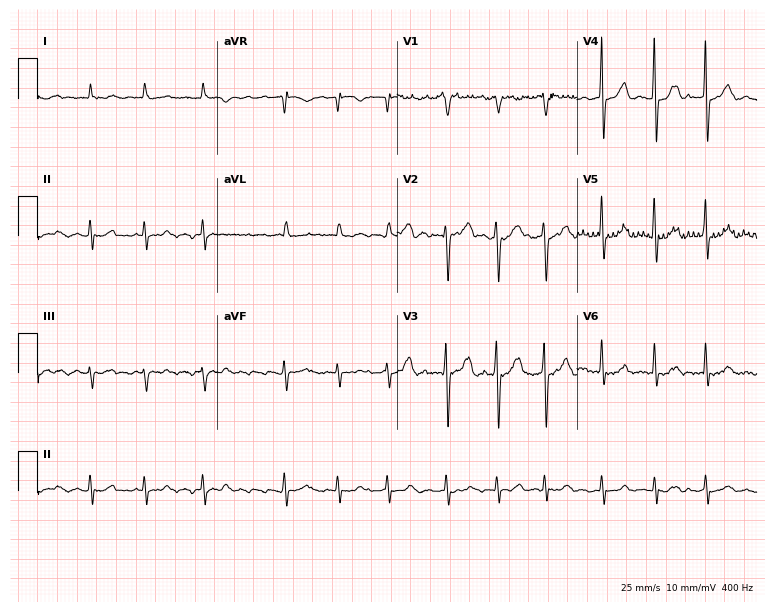
Resting 12-lead electrocardiogram. Patient: an 81-year-old female. The tracing shows atrial fibrillation (AF).